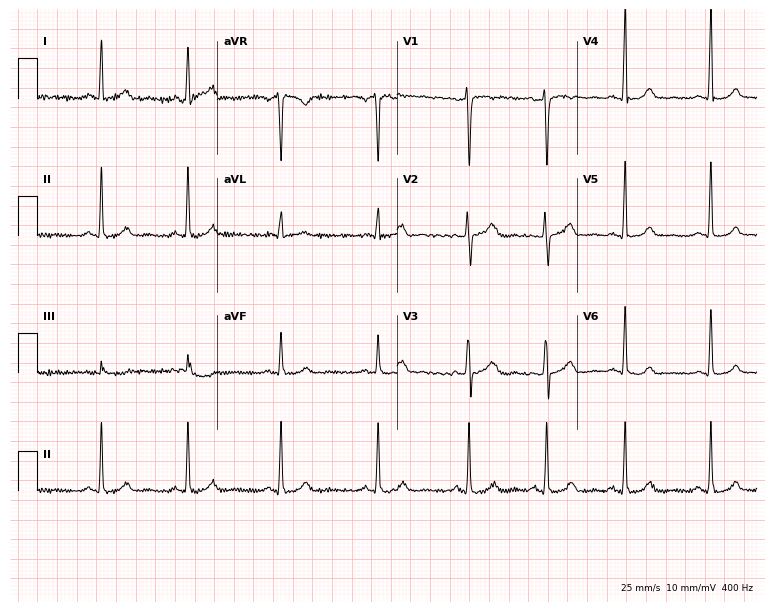
Electrocardiogram, a 27-year-old female patient. Of the six screened findings (first-degree AV block, right bundle branch block, left bundle branch block, sinus bradycardia, atrial fibrillation, sinus tachycardia), none is recorded.